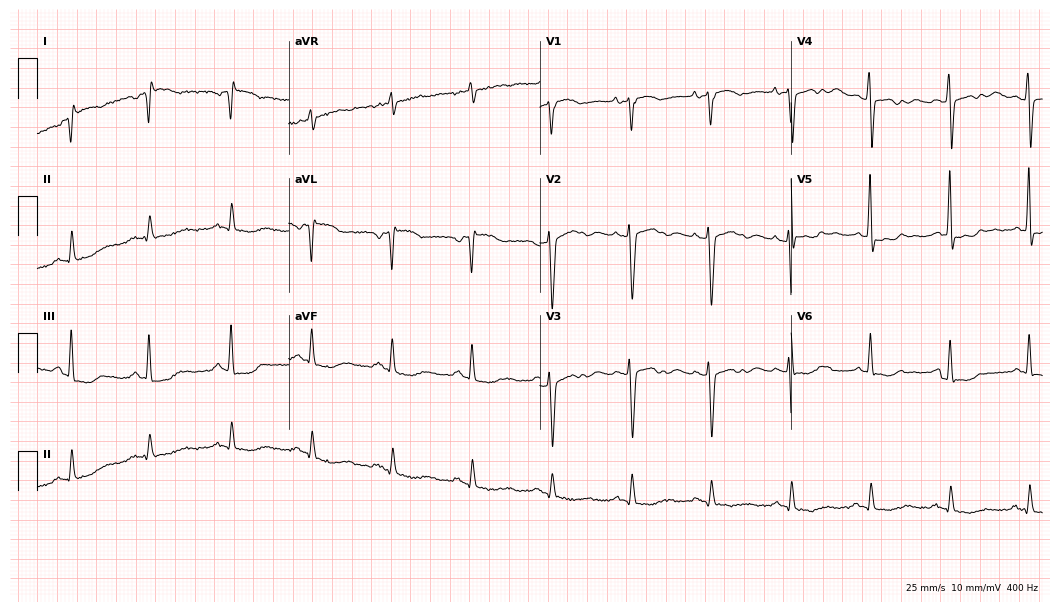
Standard 12-lead ECG recorded from a 68-year-old female patient (10.2-second recording at 400 Hz). None of these six findings is recorded: first-degree AV block, right bundle branch block, left bundle branch block, sinus bradycardia, atrial fibrillation, sinus tachycardia. Findings outside these six are not listed.